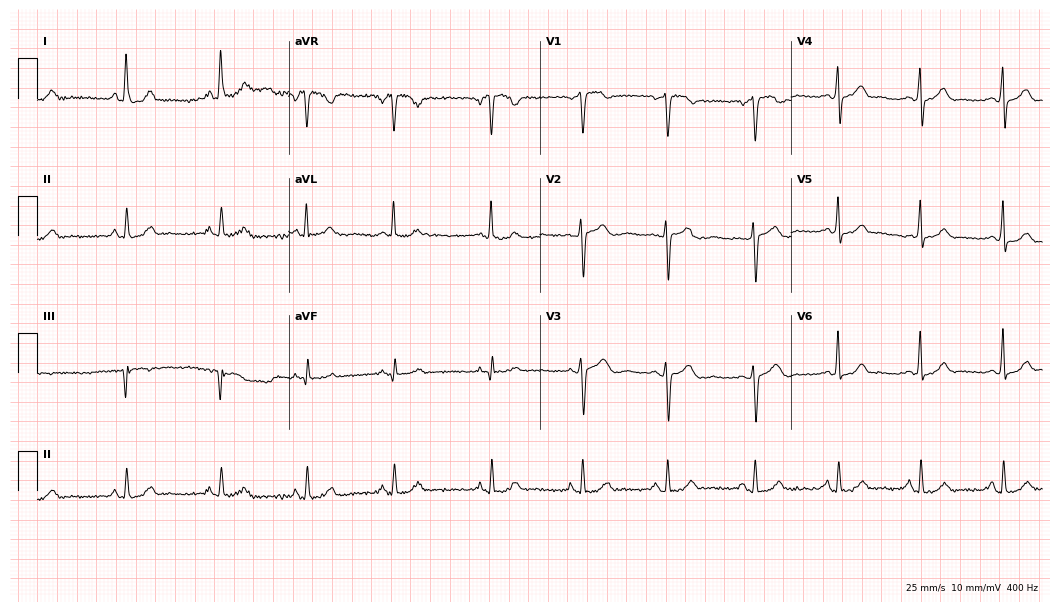
12-lead ECG from a woman, 41 years old. Recorded interpretation: within normal limits.